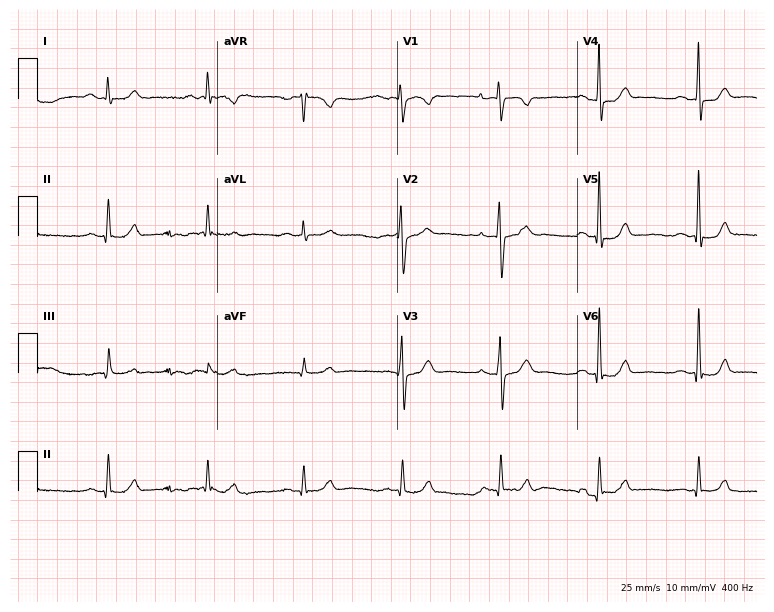
Resting 12-lead electrocardiogram (7.3-second recording at 400 Hz). Patient: a man, 77 years old. Read as a normal ECG.